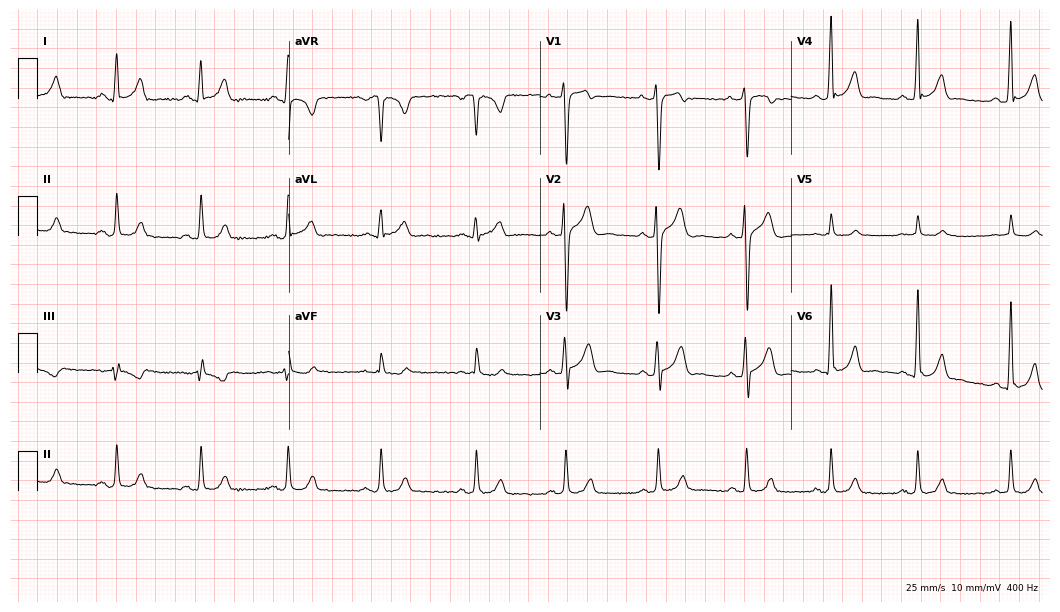
Electrocardiogram, a man, 35 years old. Overall reading on record: normal ECG.